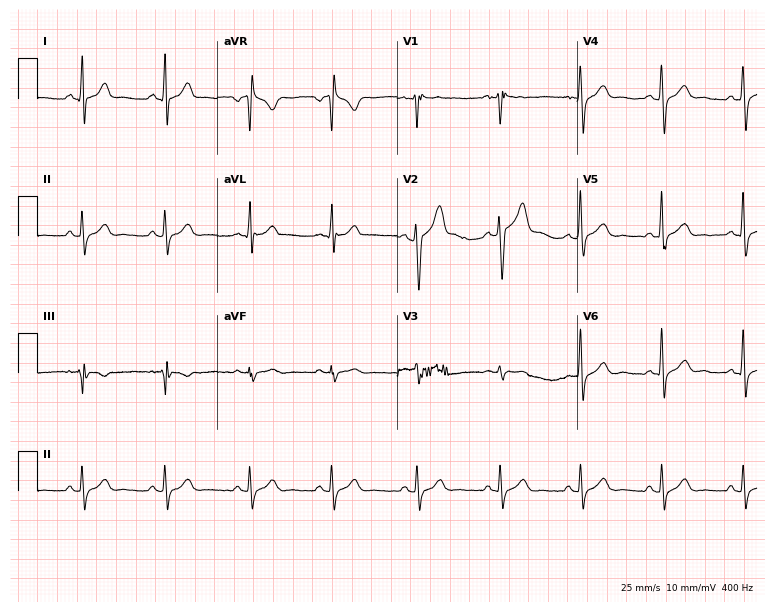
12-lead ECG from a 26-year-old male. No first-degree AV block, right bundle branch block (RBBB), left bundle branch block (LBBB), sinus bradycardia, atrial fibrillation (AF) or sinus tachycardia recorded for this tracing.